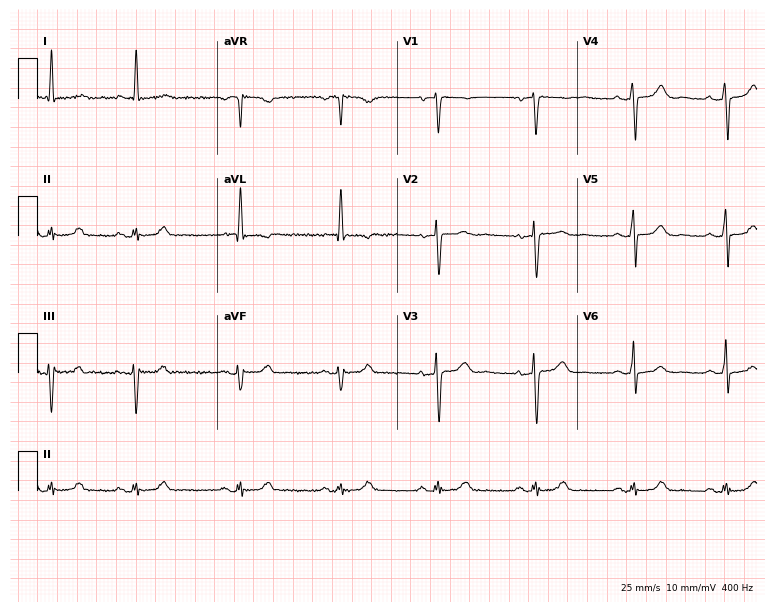
ECG — a woman, 71 years old. Screened for six findings — first-degree AV block, right bundle branch block, left bundle branch block, sinus bradycardia, atrial fibrillation, sinus tachycardia — none is recorded.